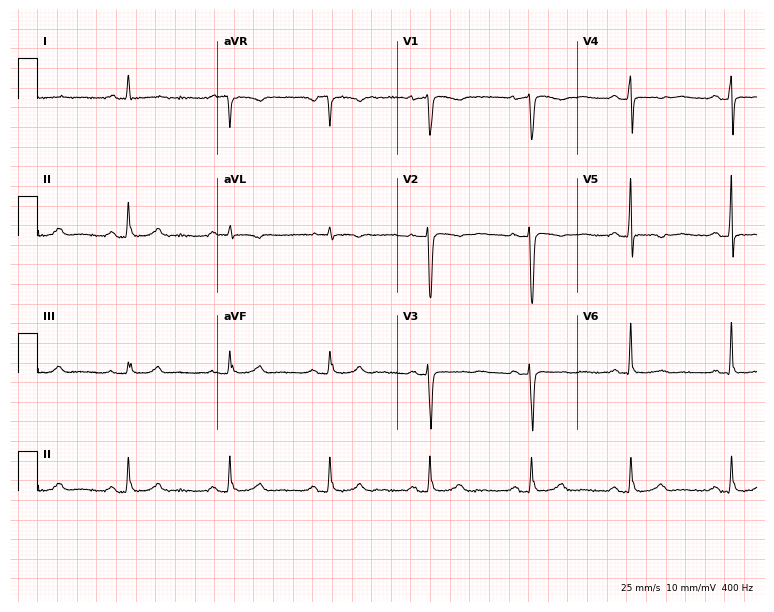
12-lead ECG from a female patient, 62 years old. Screened for six findings — first-degree AV block, right bundle branch block, left bundle branch block, sinus bradycardia, atrial fibrillation, sinus tachycardia — none is recorded. Findings outside these six are not listed.